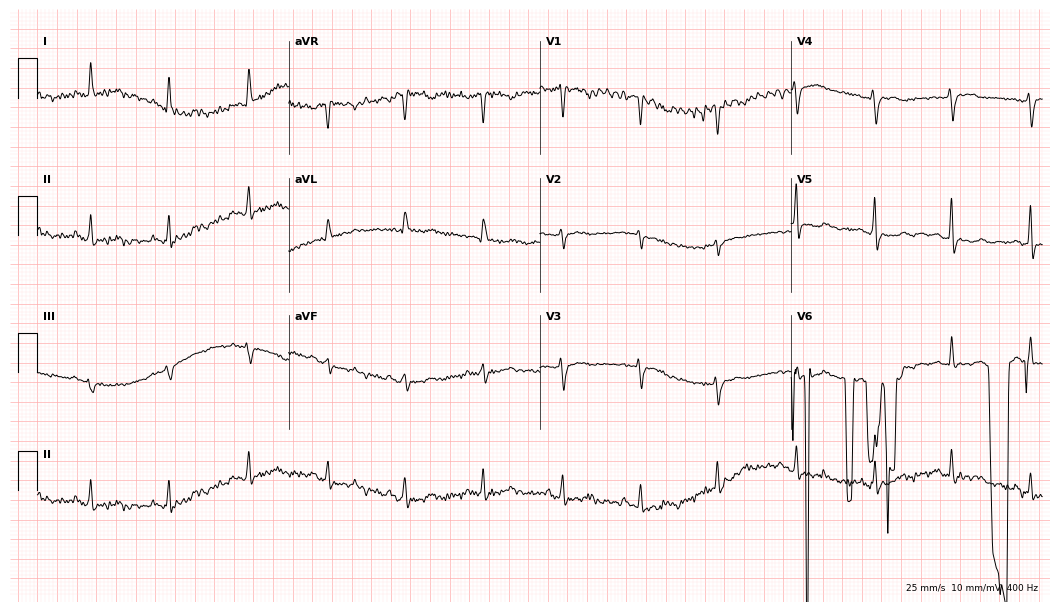
12-lead ECG from a female patient, 58 years old. No first-degree AV block, right bundle branch block, left bundle branch block, sinus bradycardia, atrial fibrillation or sinus tachycardia recorded for this tracing.